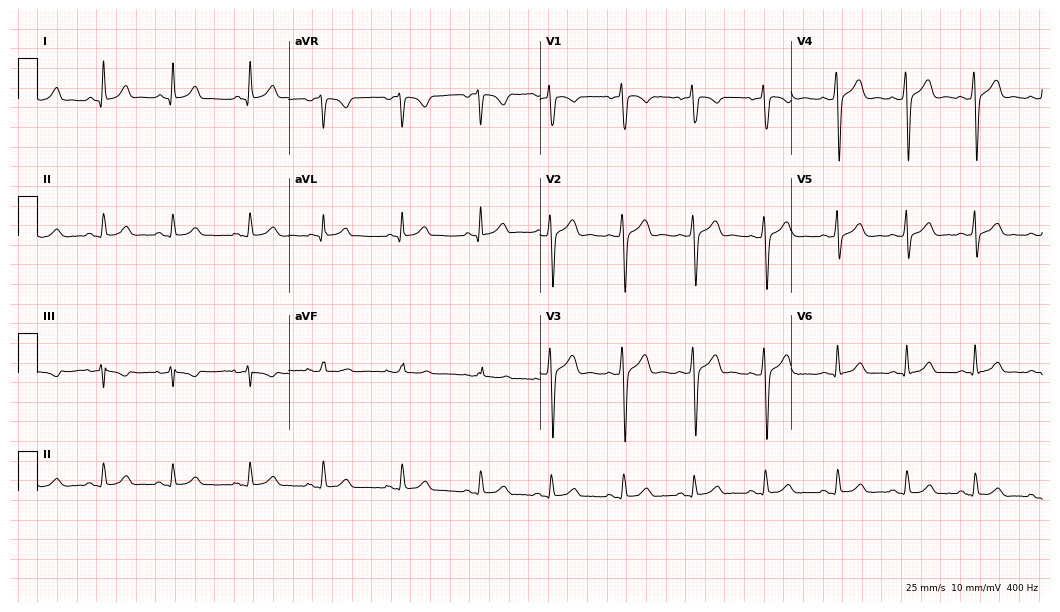
12-lead ECG from a woman, 28 years old. Recorded interpretation: within normal limits.